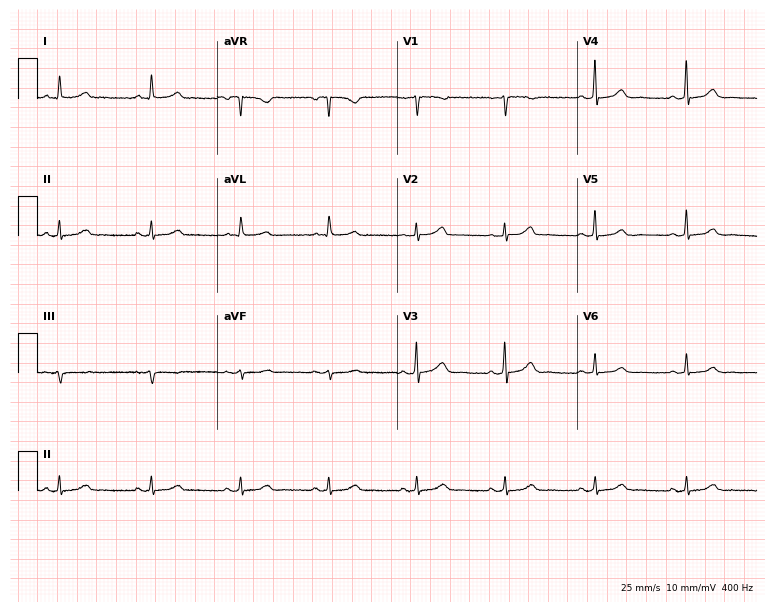
12-lead ECG from a 65-year-old female patient. Recorded interpretation: within normal limits.